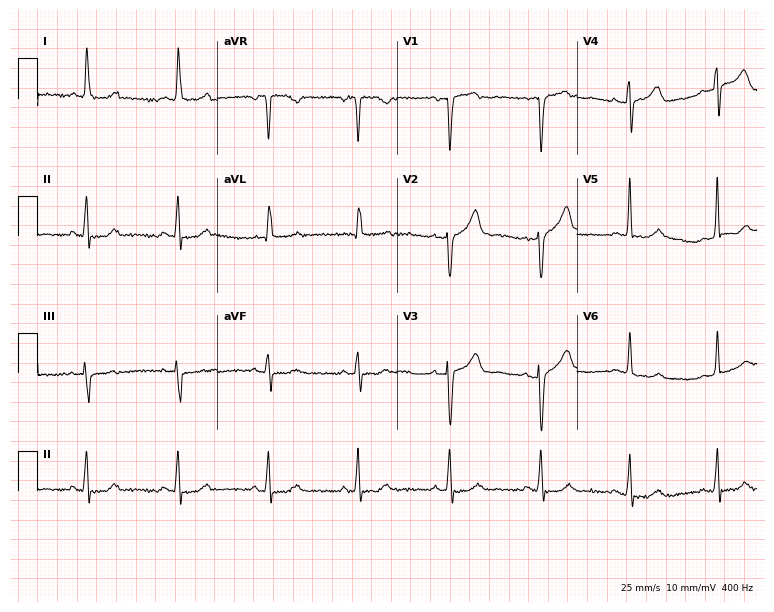
Standard 12-lead ECG recorded from a female patient, 63 years old (7.3-second recording at 400 Hz). Read as a normal ECG.